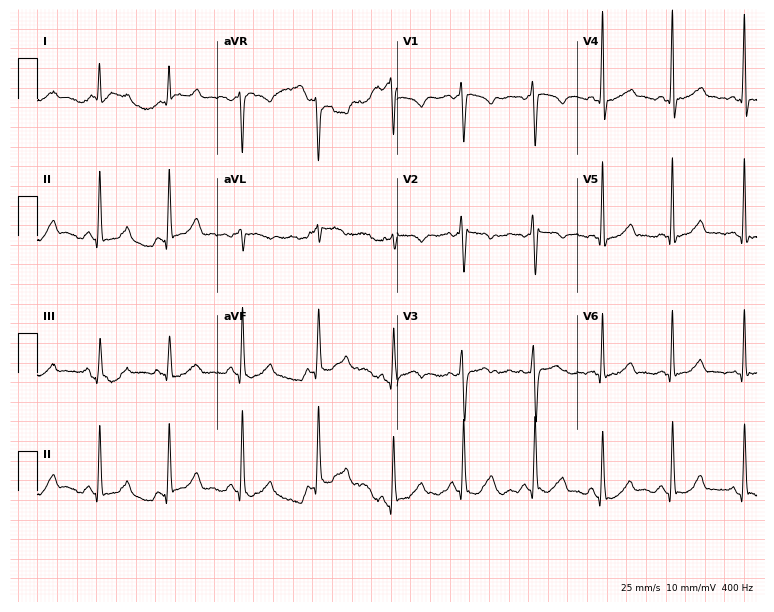
12-lead ECG from a 29-year-old woman. No first-degree AV block, right bundle branch block (RBBB), left bundle branch block (LBBB), sinus bradycardia, atrial fibrillation (AF) or sinus tachycardia recorded for this tracing. Other findings, if any, are not listed.